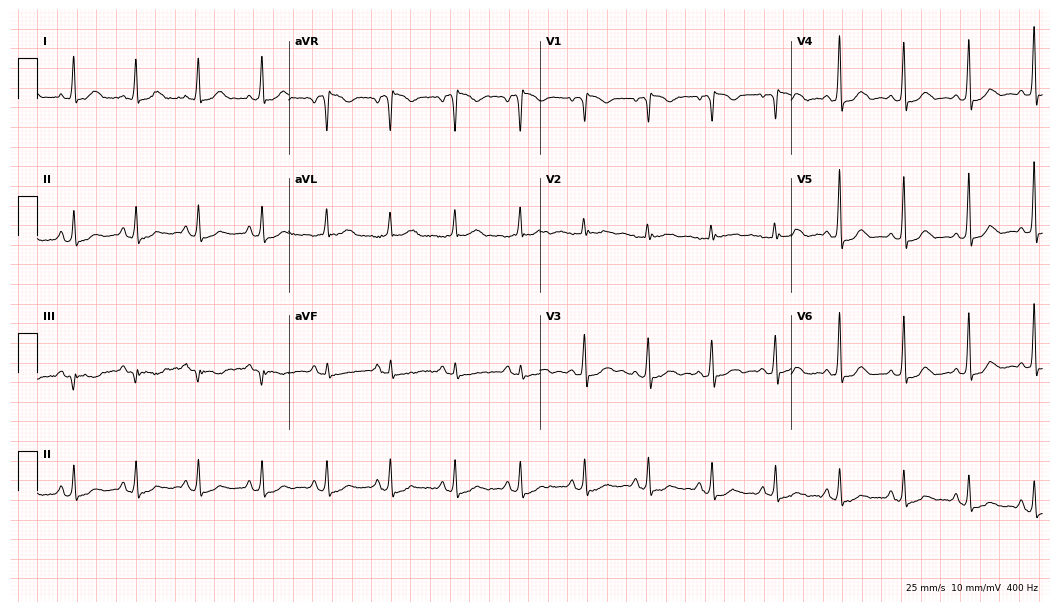
Resting 12-lead electrocardiogram. Patient: a 48-year-old female. Read as a normal ECG.